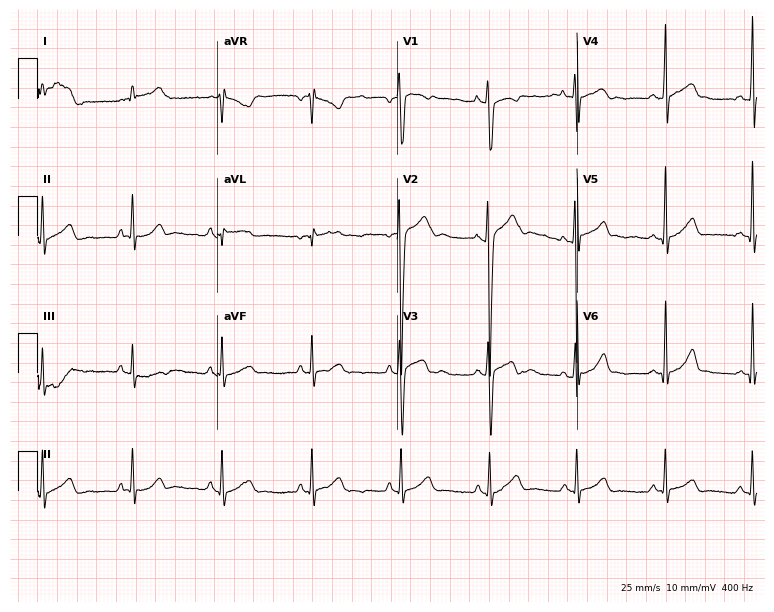
12-lead ECG from a 17-year-old male patient. Labelled as a normal ECG.